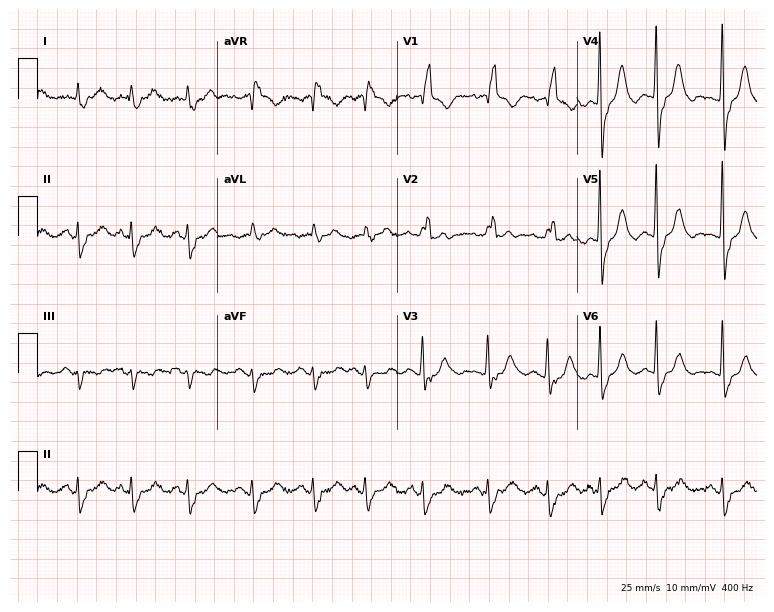
Standard 12-lead ECG recorded from a woman, 83 years old. The tracing shows right bundle branch block, sinus tachycardia (a sinus rate of 100 beats per minute or more).